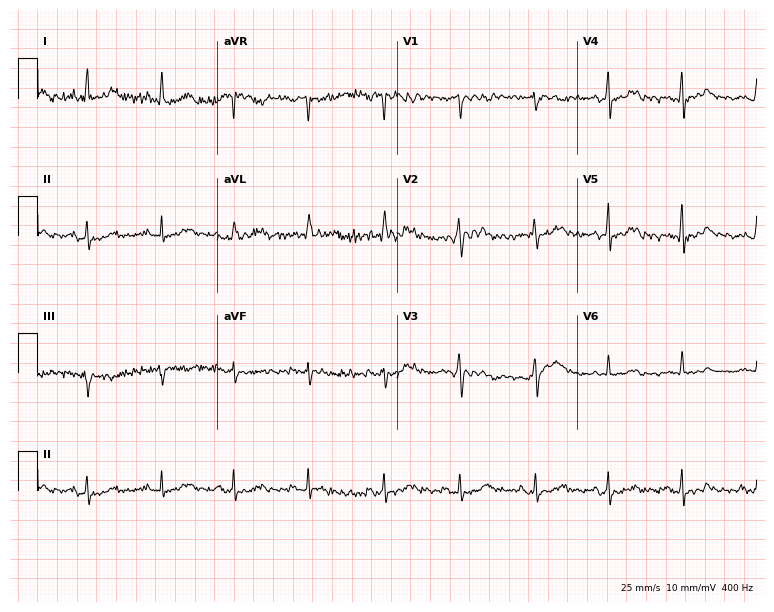
Electrocardiogram, a female patient, 35 years old. Of the six screened findings (first-degree AV block, right bundle branch block, left bundle branch block, sinus bradycardia, atrial fibrillation, sinus tachycardia), none is recorded. Other findings, if any, are not listed.